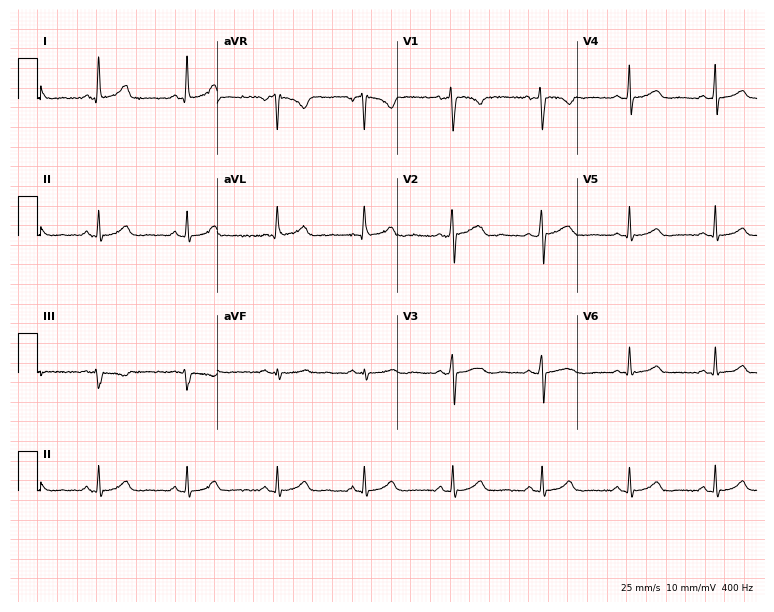
12-lead ECG (7.3-second recording at 400 Hz) from a female, 47 years old. Labelled as a normal ECG.